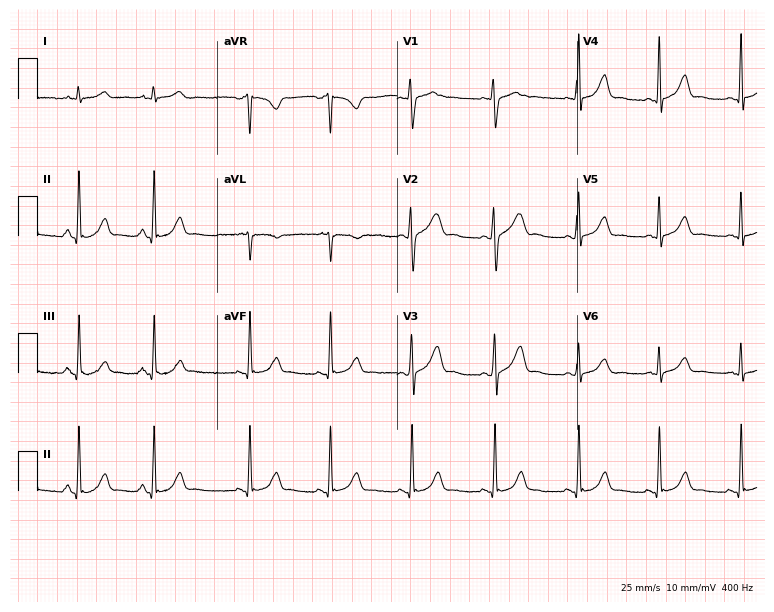
Resting 12-lead electrocardiogram (7.3-second recording at 400 Hz). Patient: a 27-year-old female. Read as a normal ECG.